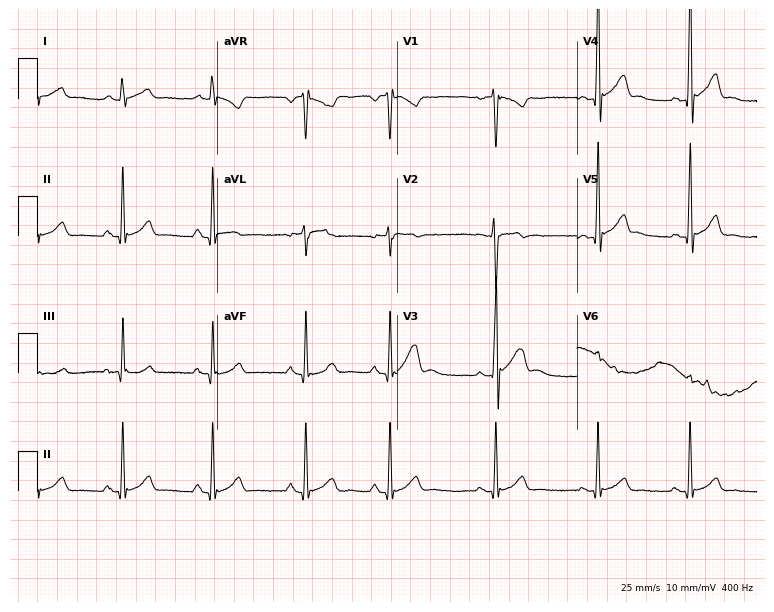
12-lead ECG from a 24-year-old male patient. Labelled as a normal ECG.